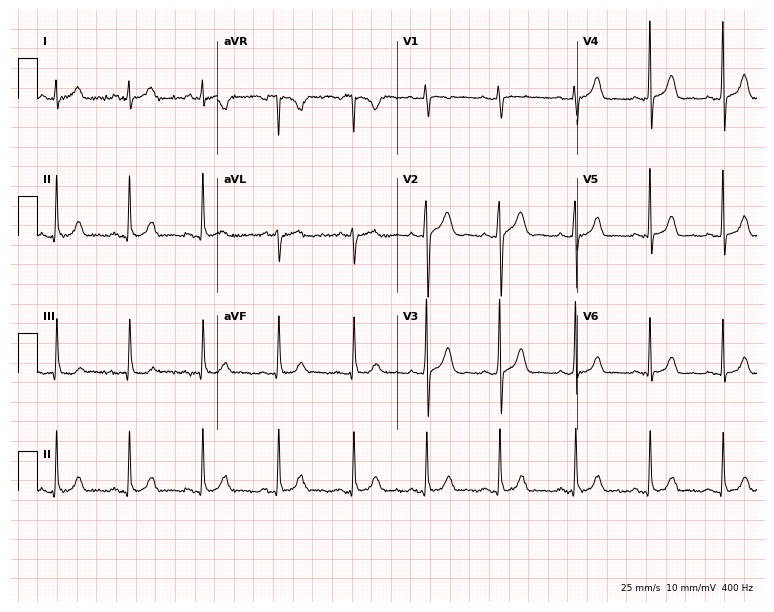
ECG — a female, 25 years old. Labelled as a normal ECG.